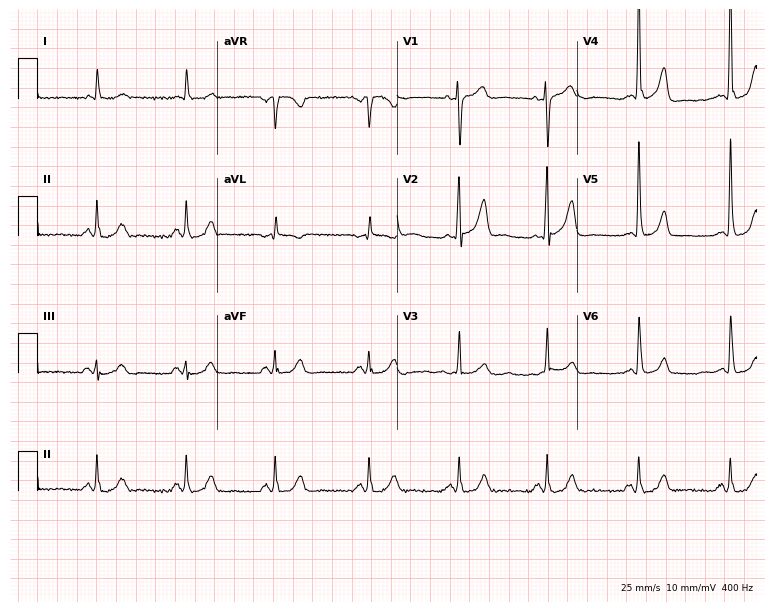
Resting 12-lead electrocardiogram (7.3-second recording at 400 Hz). Patient: a woman, 77 years old. Read as a normal ECG.